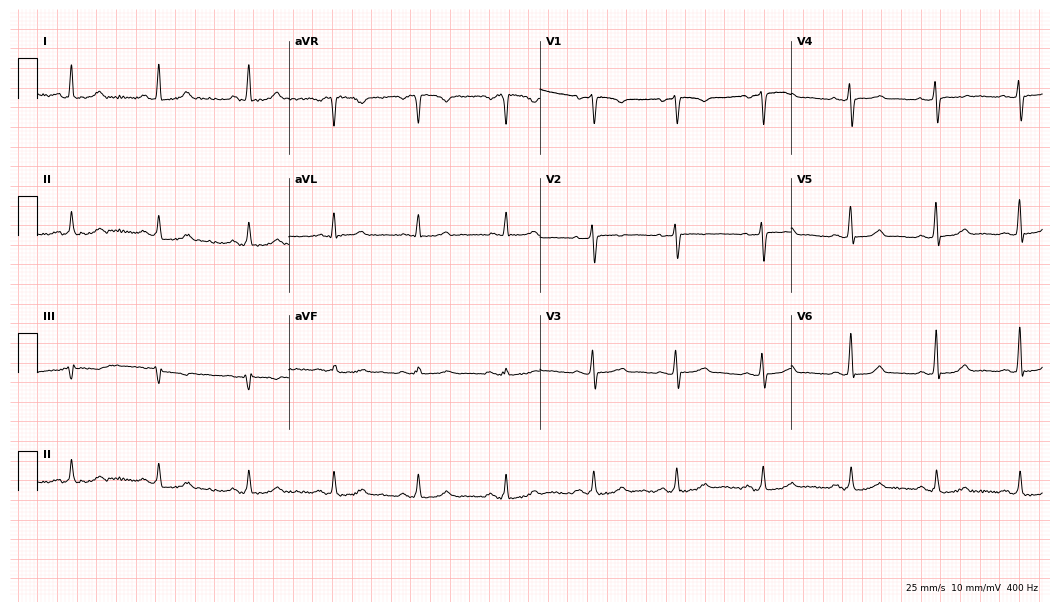
Electrocardiogram (10.2-second recording at 400 Hz), a female, 41 years old. Overall reading on record: normal ECG.